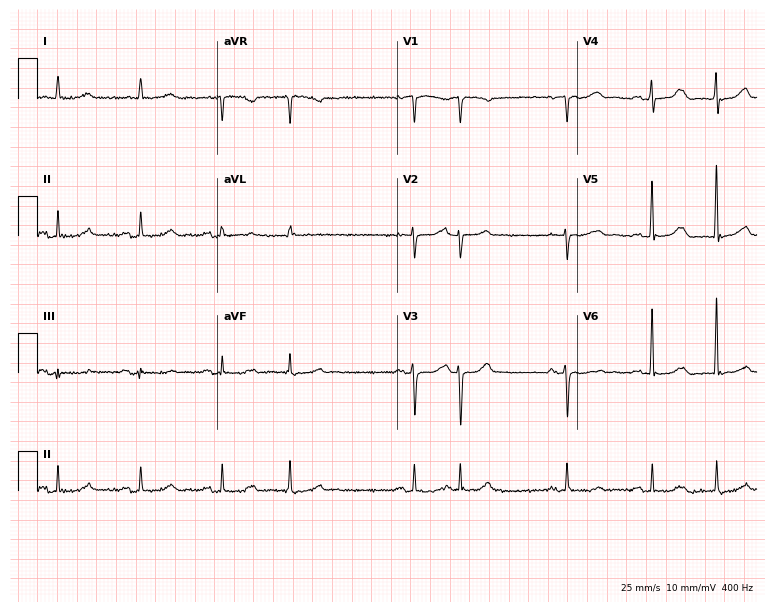
ECG — a woman, 72 years old. Screened for six findings — first-degree AV block, right bundle branch block (RBBB), left bundle branch block (LBBB), sinus bradycardia, atrial fibrillation (AF), sinus tachycardia — none is recorded.